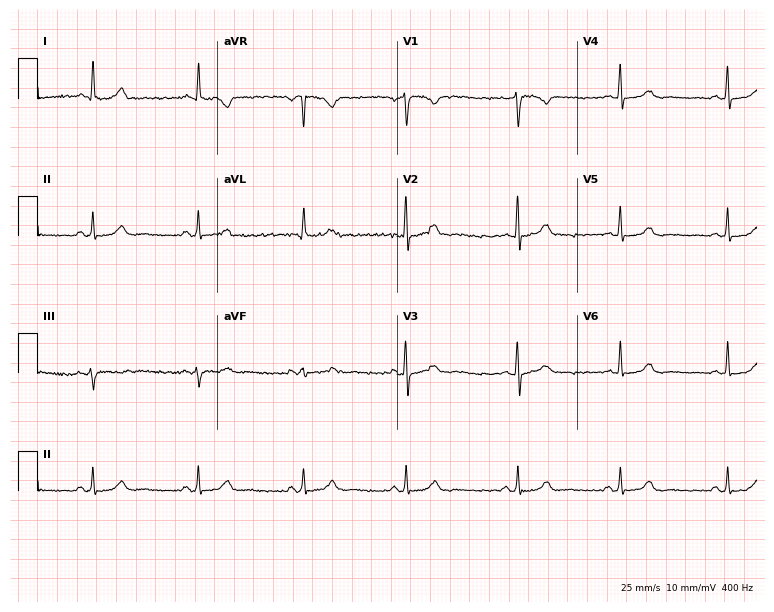
12-lead ECG from a female, 36 years old. Labelled as a normal ECG.